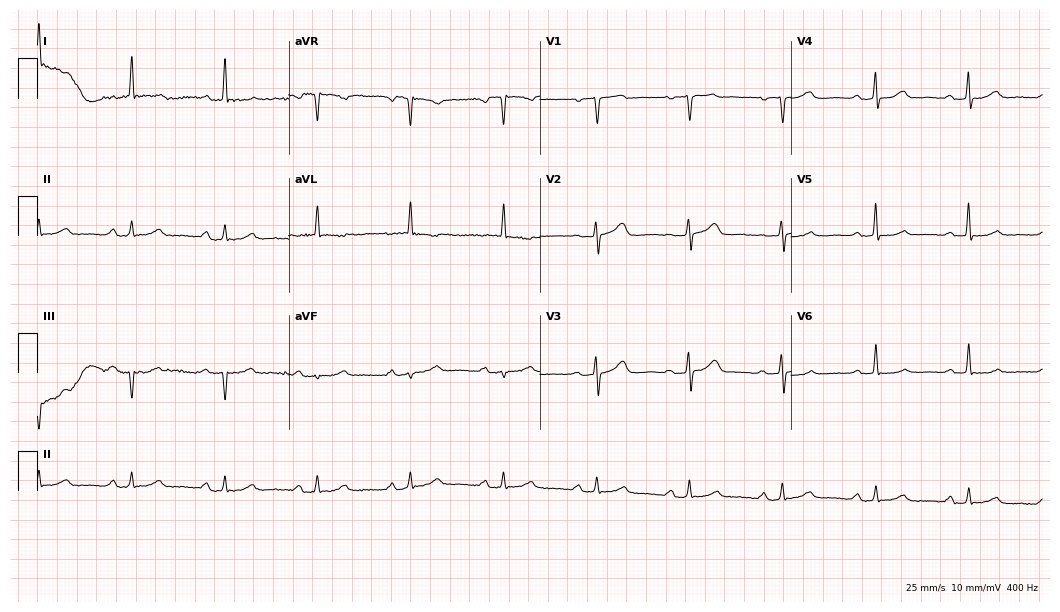
Electrocardiogram (10.2-second recording at 400 Hz), a female patient, 70 years old. Of the six screened findings (first-degree AV block, right bundle branch block (RBBB), left bundle branch block (LBBB), sinus bradycardia, atrial fibrillation (AF), sinus tachycardia), none is recorded. Only these six findings were labelled.